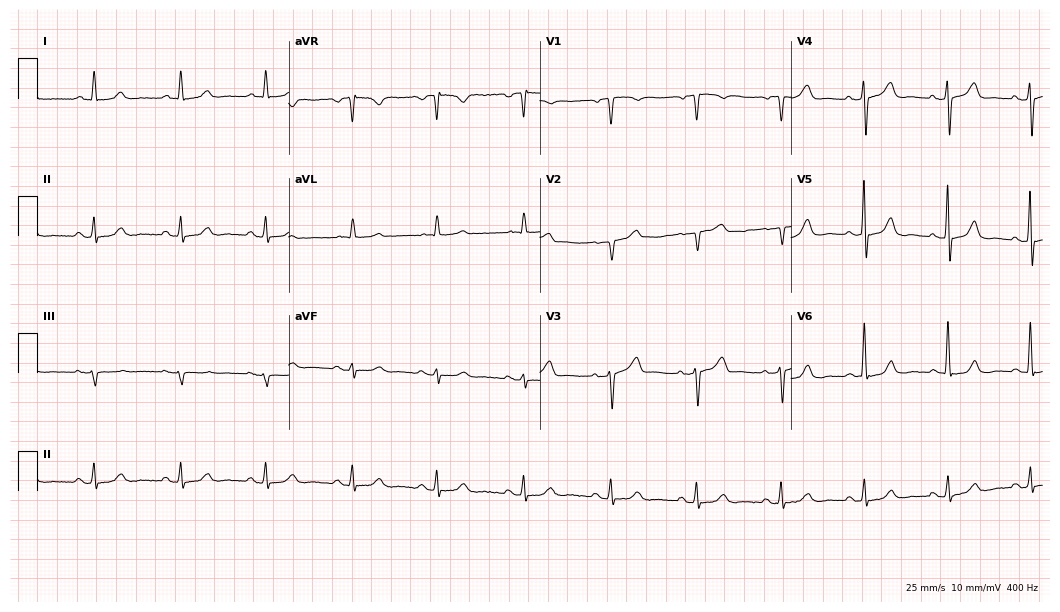
Standard 12-lead ECG recorded from a 66-year-old man. Read as a normal ECG.